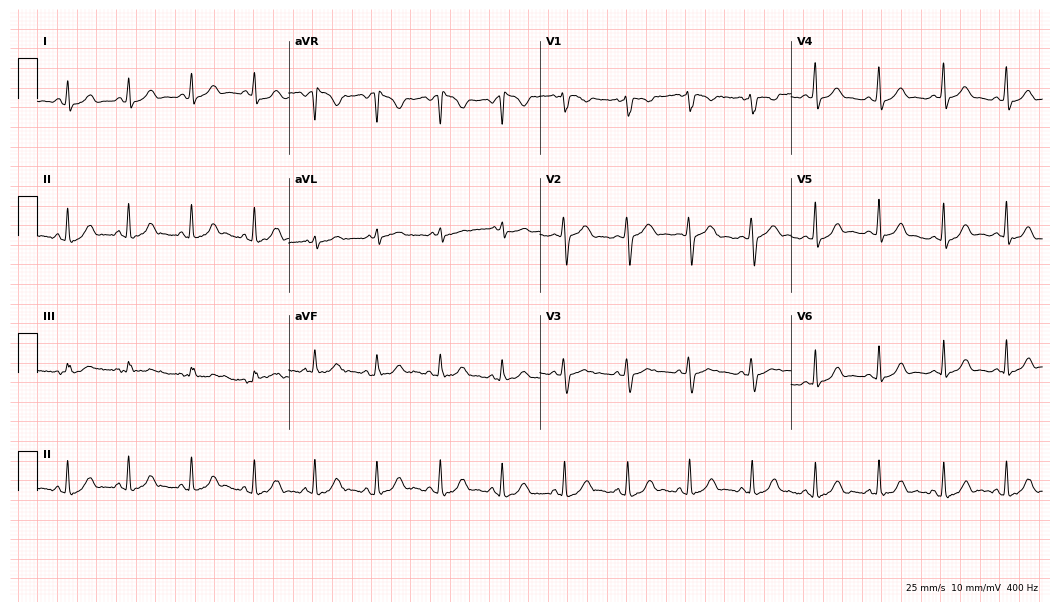
Resting 12-lead electrocardiogram. Patient: a 27-year-old female. Read as a normal ECG.